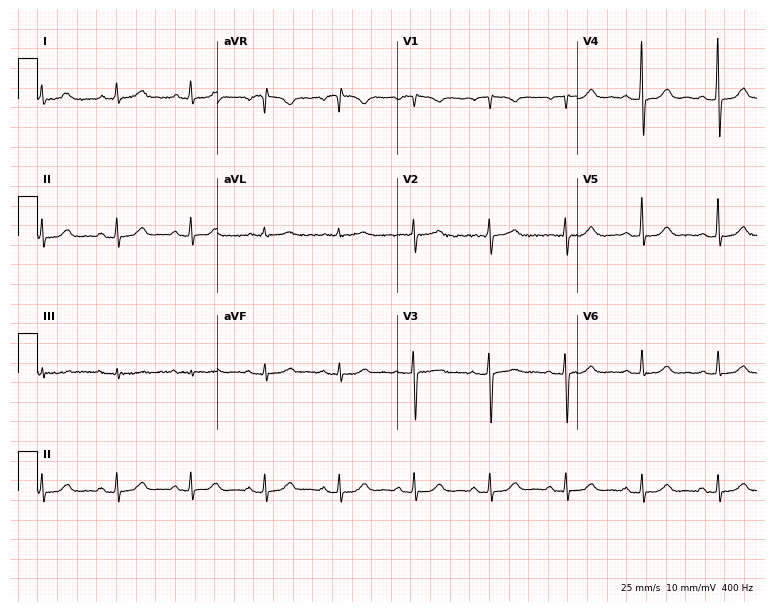
Resting 12-lead electrocardiogram. Patient: a female, 78 years old. None of these six findings is recorded: first-degree AV block, right bundle branch block, left bundle branch block, sinus bradycardia, atrial fibrillation, sinus tachycardia.